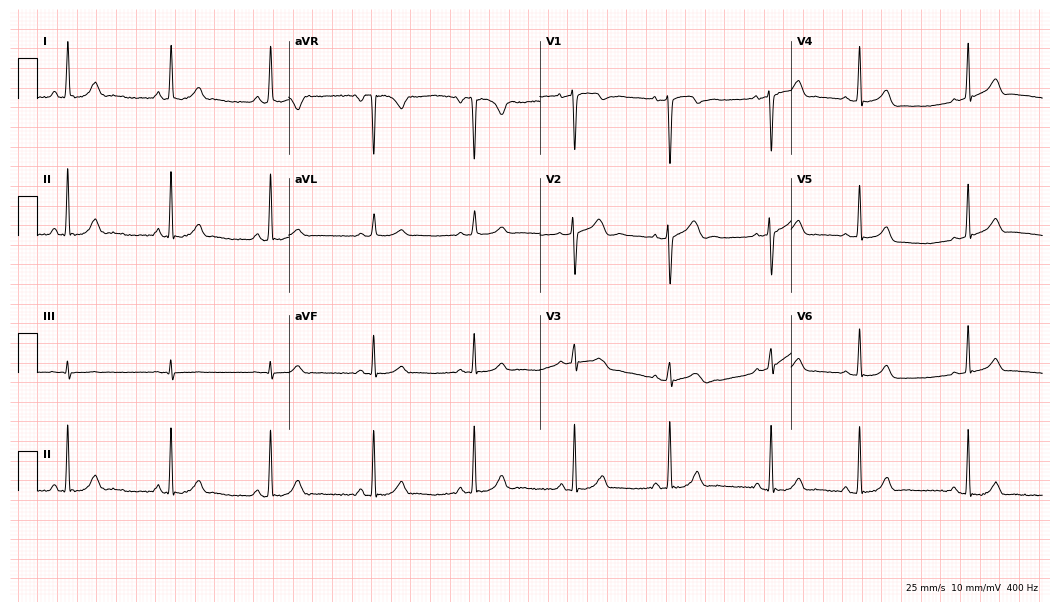
ECG — a female, 19 years old. Labelled as a normal ECG.